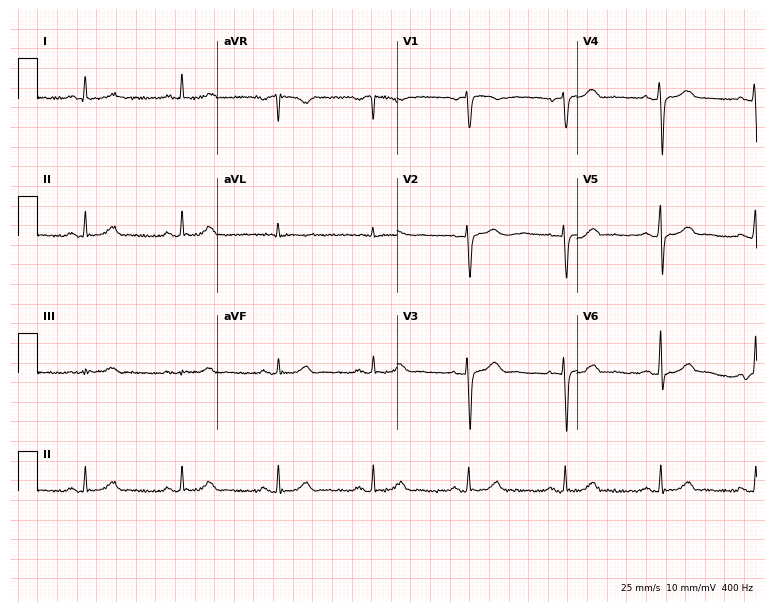
Standard 12-lead ECG recorded from a 58-year-old male patient. None of these six findings is recorded: first-degree AV block, right bundle branch block, left bundle branch block, sinus bradycardia, atrial fibrillation, sinus tachycardia. Other findings, if any, are not listed.